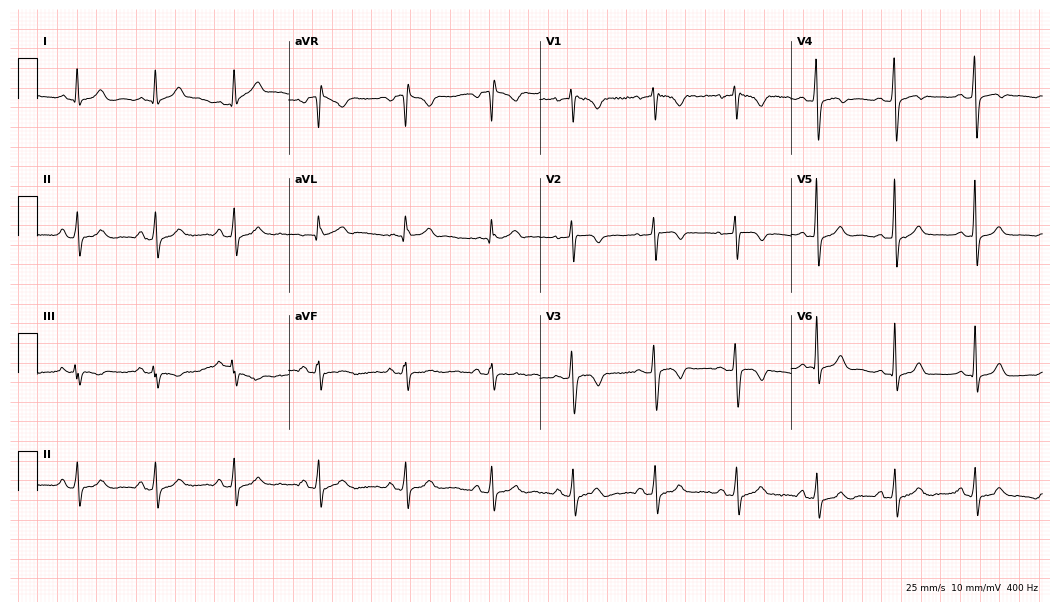
12-lead ECG (10.2-second recording at 400 Hz) from a 29-year-old female patient. Labelled as a normal ECG.